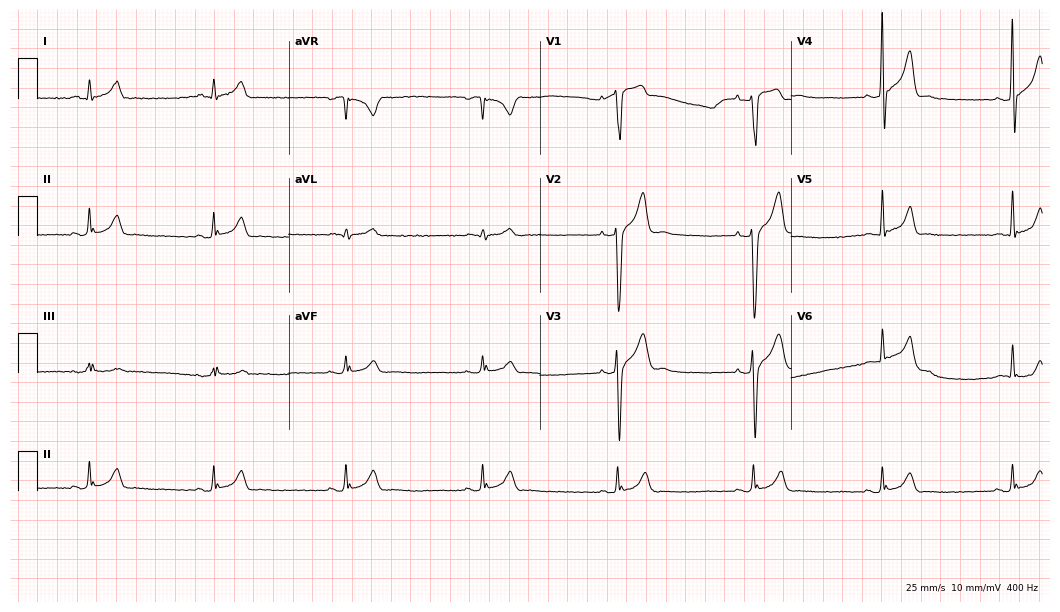
12-lead ECG from a 34-year-old male patient (10.2-second recording at 400 Hz). Shows sinus bradycardia (a sinus rate of 50 beats per minute or less).